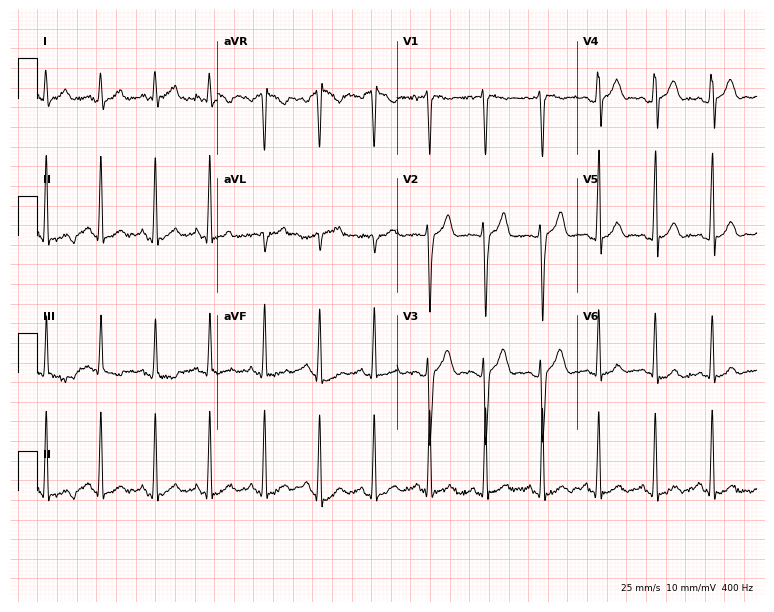
Resting 12-lead electrocardiogram (7.3-second recording at 400 Hz). Patient: a 22-year-old male. The tracing shows sinus tachycardia (a sinus rate of 100 beats per minute or more).